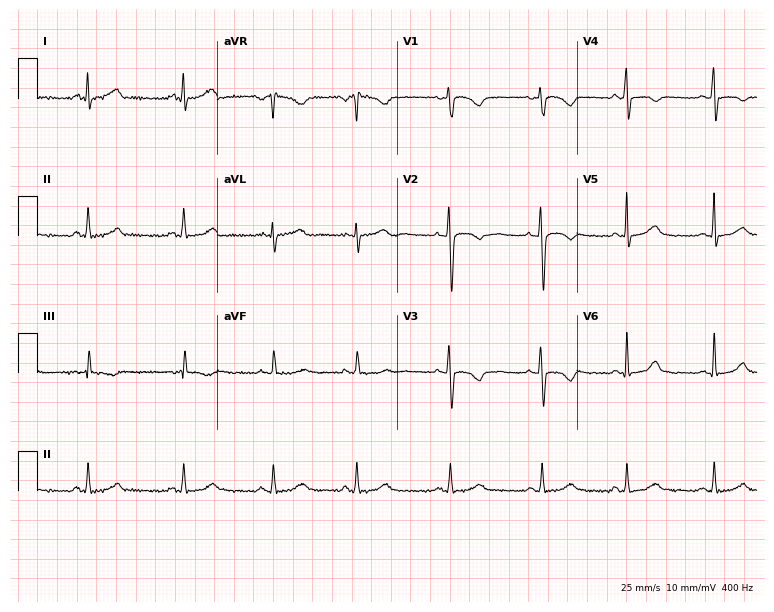
ECG (7.3-second recording at 400 Hz) — a woman, 20 years old. Labelled as a normal ECG.